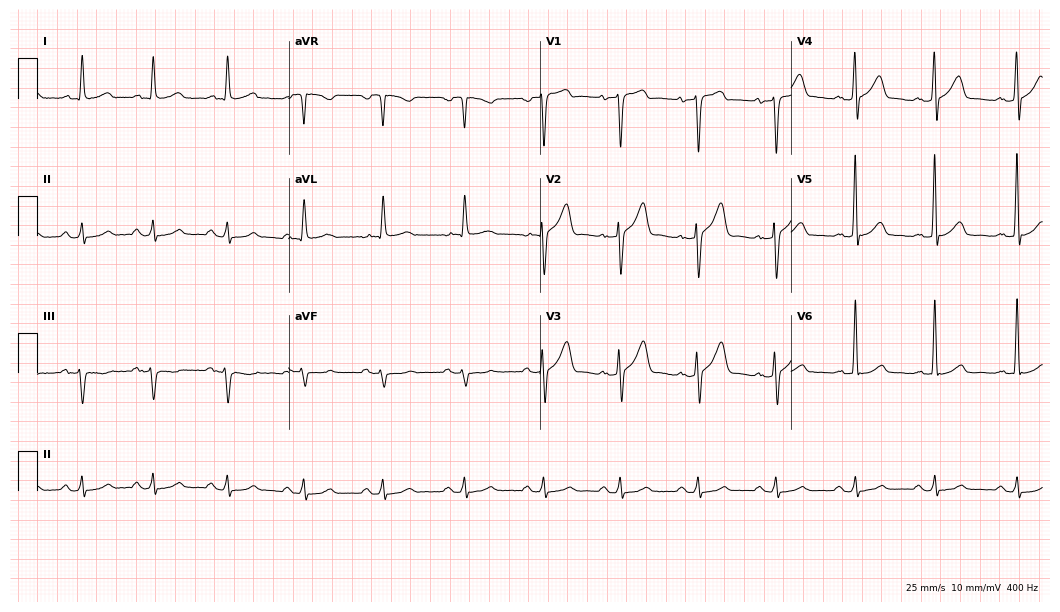
Electrocardiogram, a male patient, 63 years old. Overall reading on record: normal ECG.